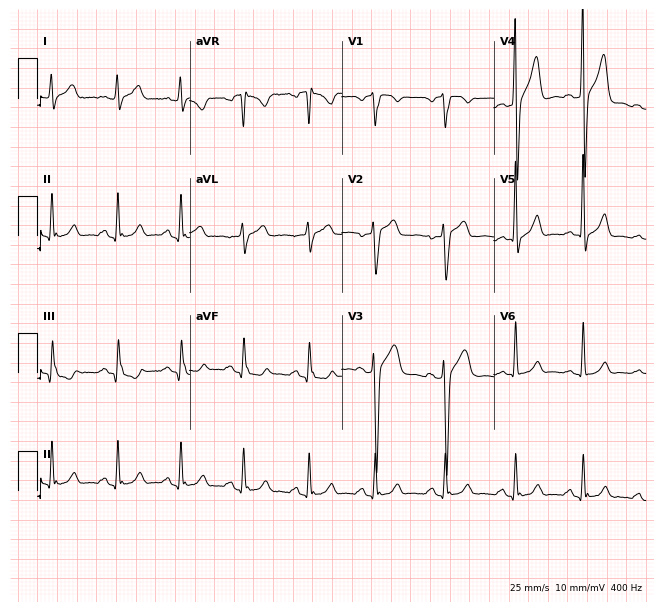
12-lead ECG from a 44-year-old male patient (6.2-second recording at 400 Hz). No first-degree AV block, right bundle branch block, left bundle branch block, sinus bradycardia, atrial fibrillation or sinus tachycardia recorded for this tracing.